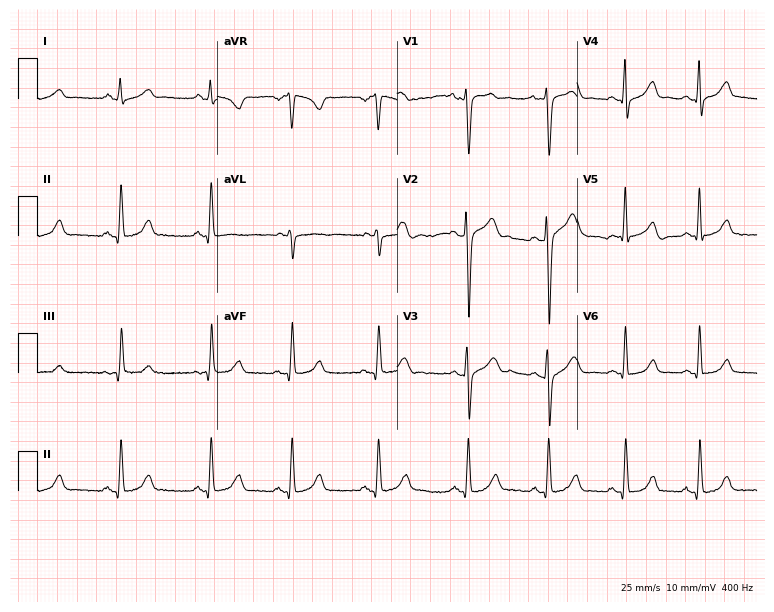
12-lead ECG from a 17-year-old male patient. Screened for six findings — first-degree AV block, right bundle branch block, left bundle branch block, sinus bradycardia, atrial fibrillation, sinus tachycardia — none is recorded. Findings outside these six are not listed.